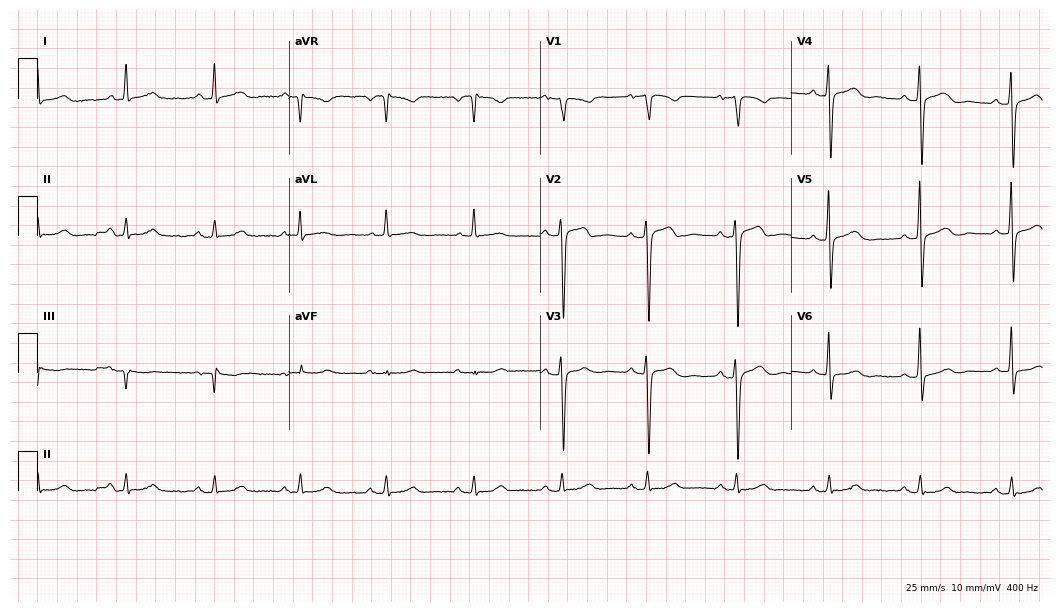
Resting 12-lead electrocardiogram (10.2-second recording at 400 Hz). Patient: a 76-year-old female. Read as a normal ECG.